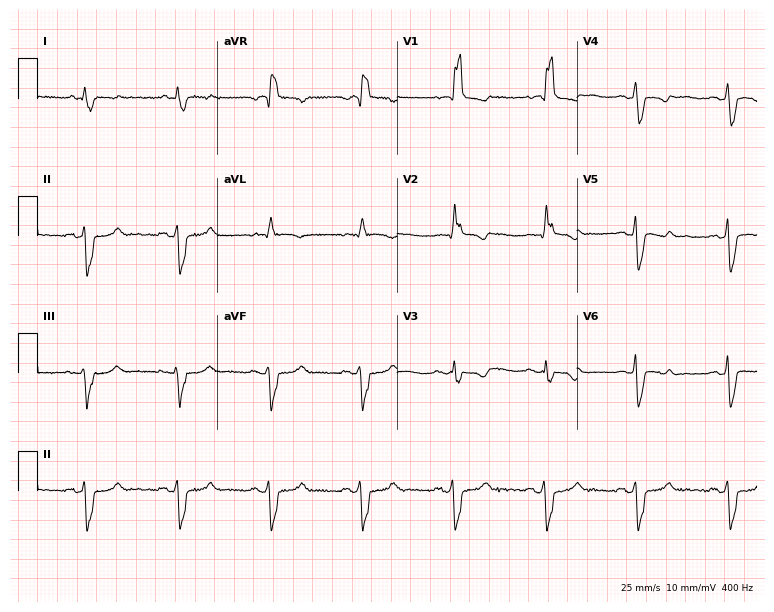
12-lead ECG from a 51-year-old man. Findings include right bundle branch block (RBBB).